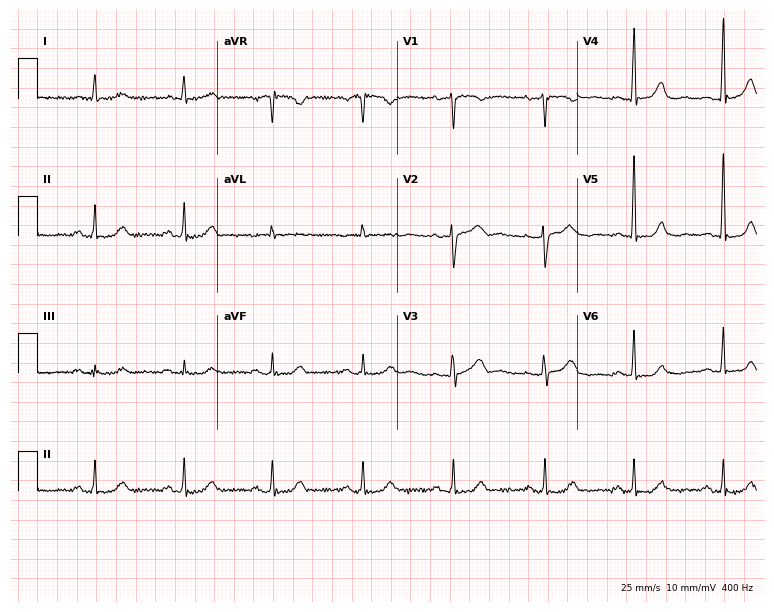
ECG (7.3-second recording at 400 Hz) — a 78-year-old male patient. Labelled as a normal ECG.